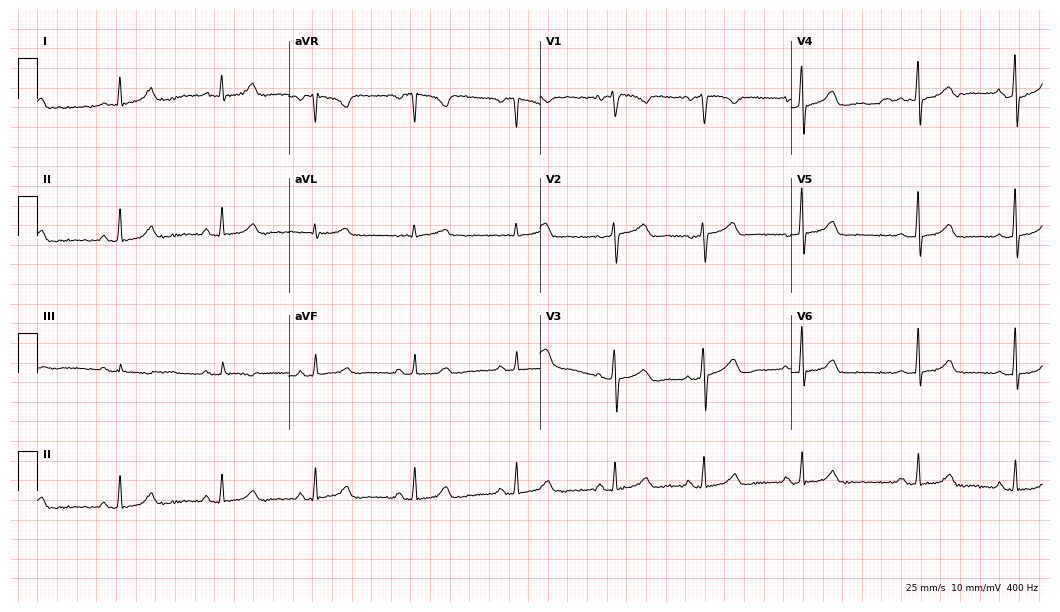
Resting 12-lead electrocardiogram (10.2-second recording at 400 Hz). Patient: a female, 38 years old. None of these six findings is recorded: first-degree AV block, right bundle branch block, left bundle branch block, sinus bradycardia, atrial fibrillation, sinus tachycardia.